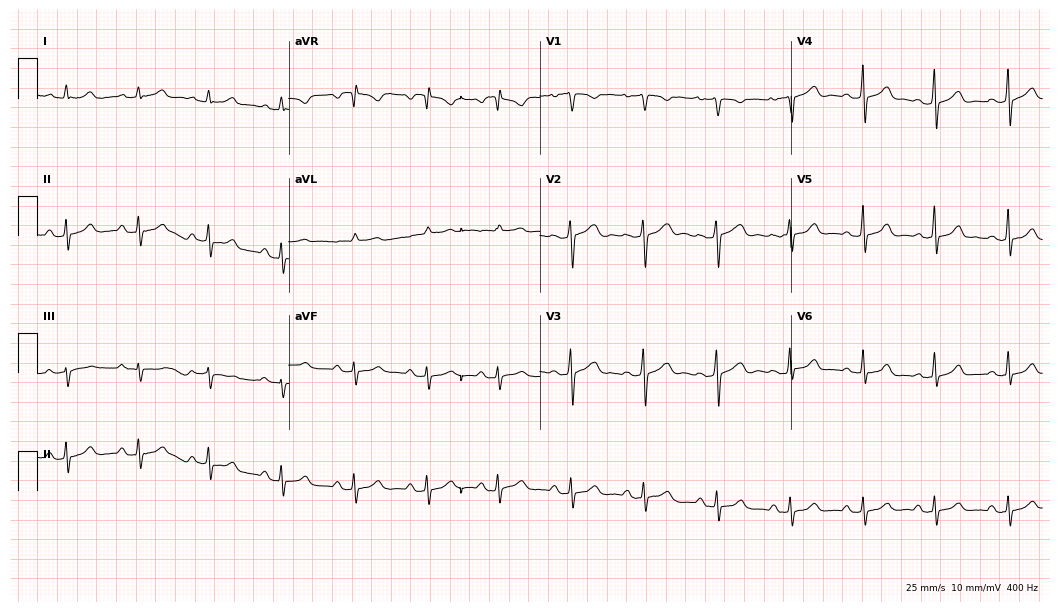
Standard 12-lead ECG recorded from a female patient, 45 years old (10.2-second recording at 400 Hz). Read as a normal ECG.